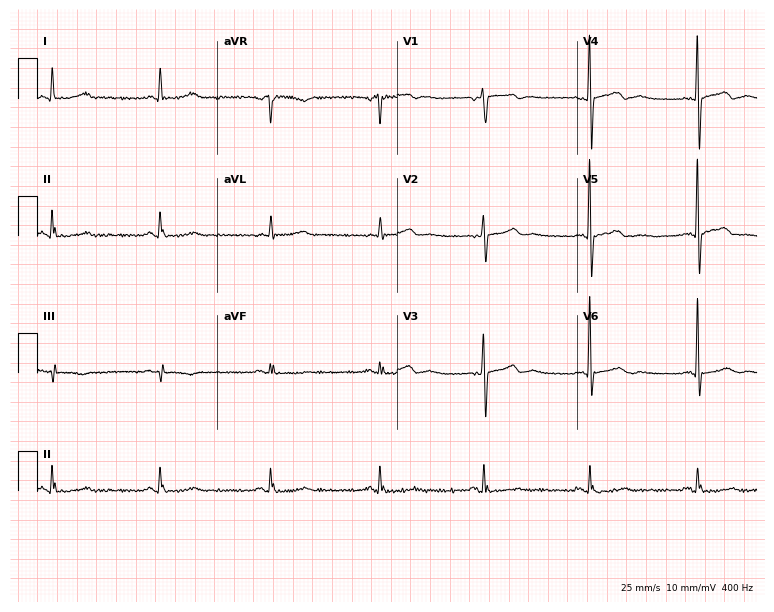
ECG (7.3-second recording at 400 Hz) — a 73-year-old woman. Screened for six findings — first-degree AV block, right bundle branch block, left bundle branch block, sinus bradycardia, atrial fibrillation, sinus tachycardia — none is recorded. Only these six findings were labelled.